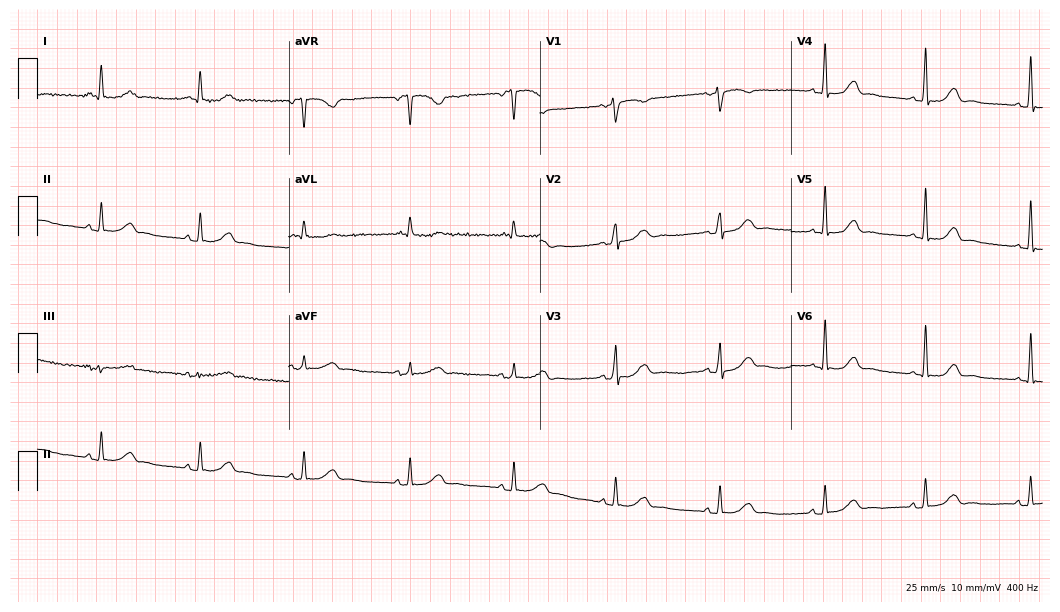
12-lead ECG (10.2-second recording at 400 Hz) from a 50-year-old woman. Labelled as a normal ECG.